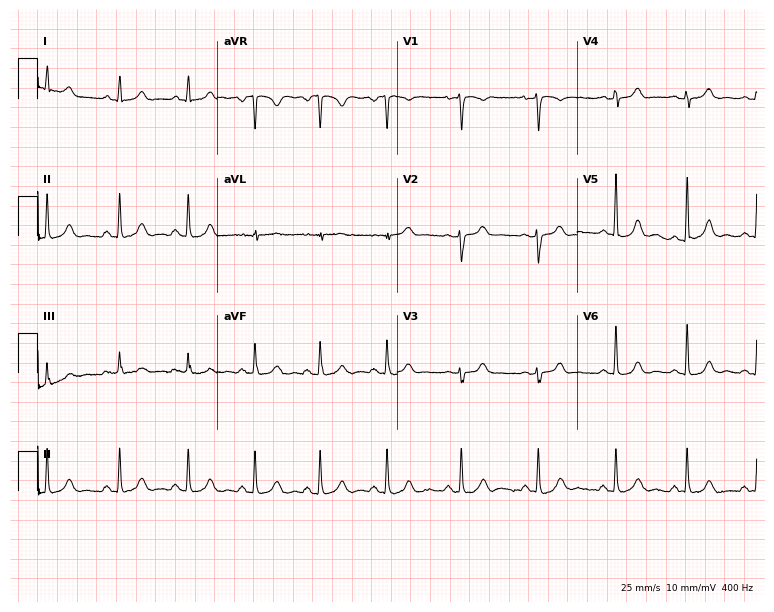
ECG (7.3-second recording at 400 Hz) — a 22-year-old female patient. Screened for six findings — first-degree AV block, right bundle branch block, left bundle branch block, sinus bradycardia, atrial fibrillation, sinus tachycardia — none is recorded.